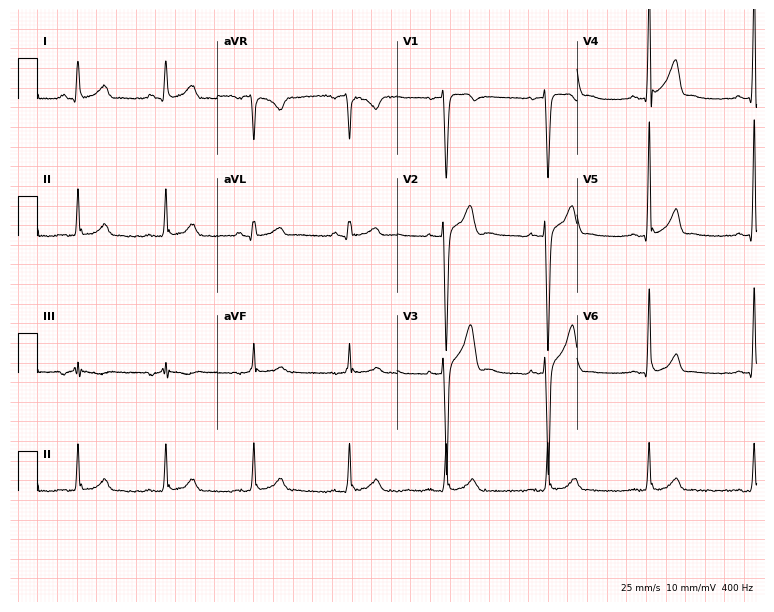
Standard 12-lead ECG recorded from a 33-year-old man. Read as a normal ECG.